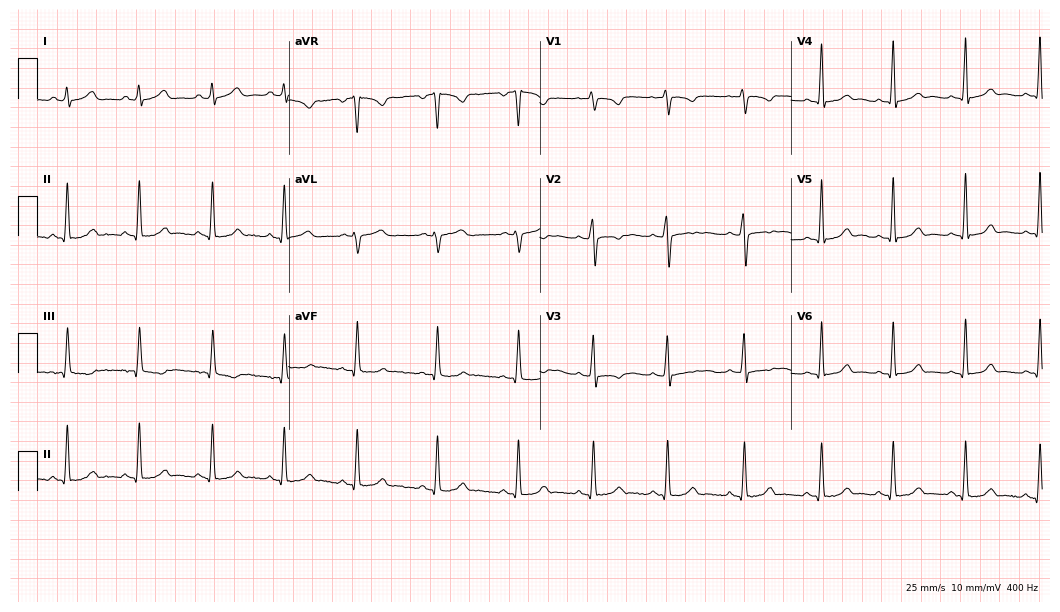
Resting 12-lead electrocardiogram (10.2-second recording at 400 Hz). Patient: a woman, 25 years old. None of these six findings is recorded: first-degree AV block, right bundle branch block, left bundle branch block, sinus bradycardia, atrial fibrillation, sinus tachycardia. Only these six findings were labelled.